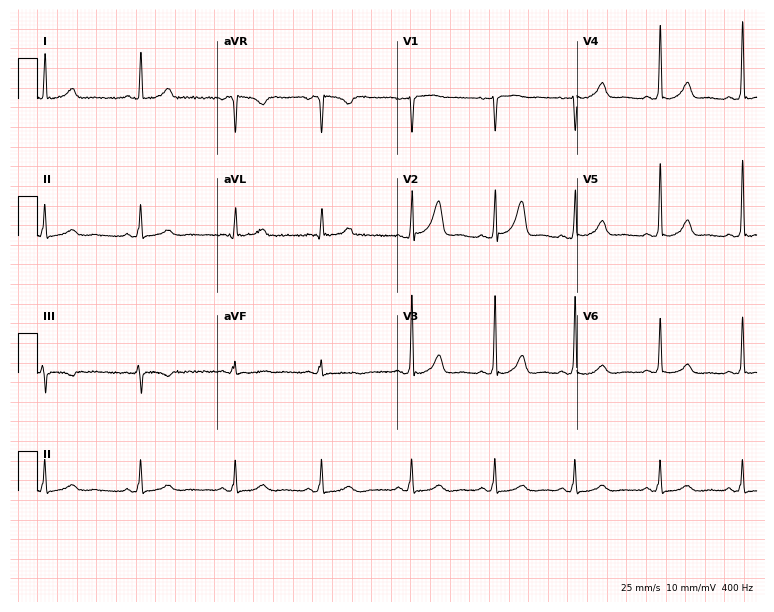
Standard 12-lead ECG recorded from a female patient, 30 years old. Read as a normal ECG.